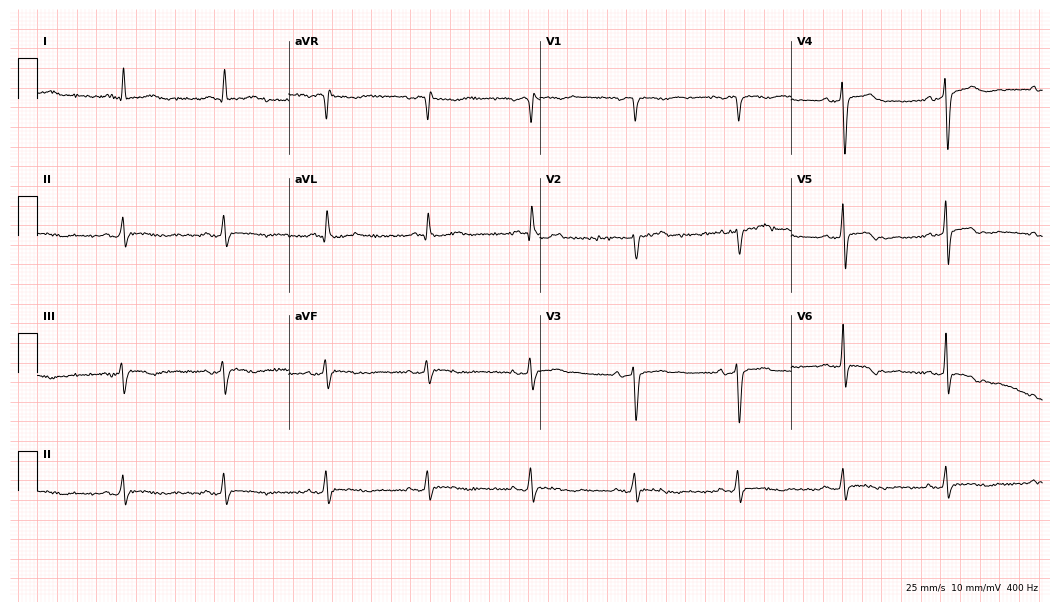
ECG (10.2-second recording at 400 Hz) — a female patient, 54 years old. Screened for six findings — first-degree AV block, right bundle branch block (RBBB), left bundle branch block (LBBB), sinus bradycardia, atrial fibrillation (AF), sinus tachycardia — none is recorded.